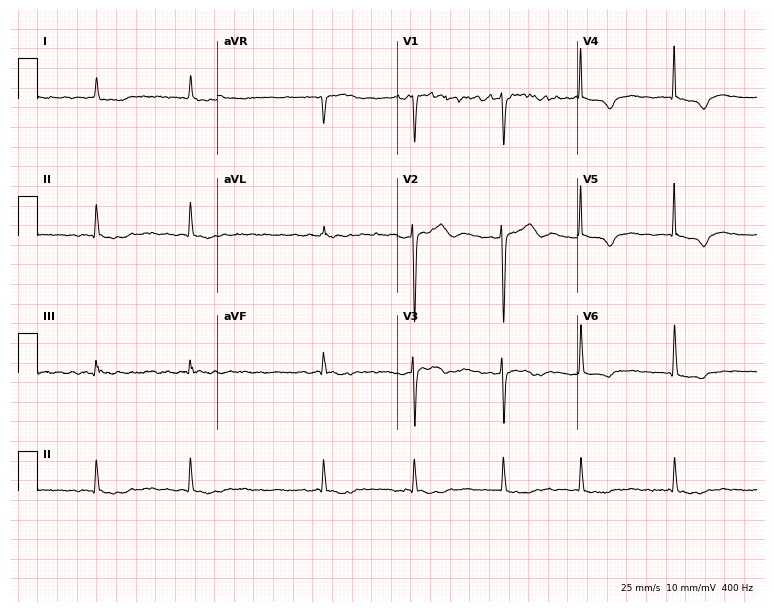
12-lead ECG (7.3-second recording at 400 Hz) from an 83-year-old woman. Findings include atrial fibrillation (AF).